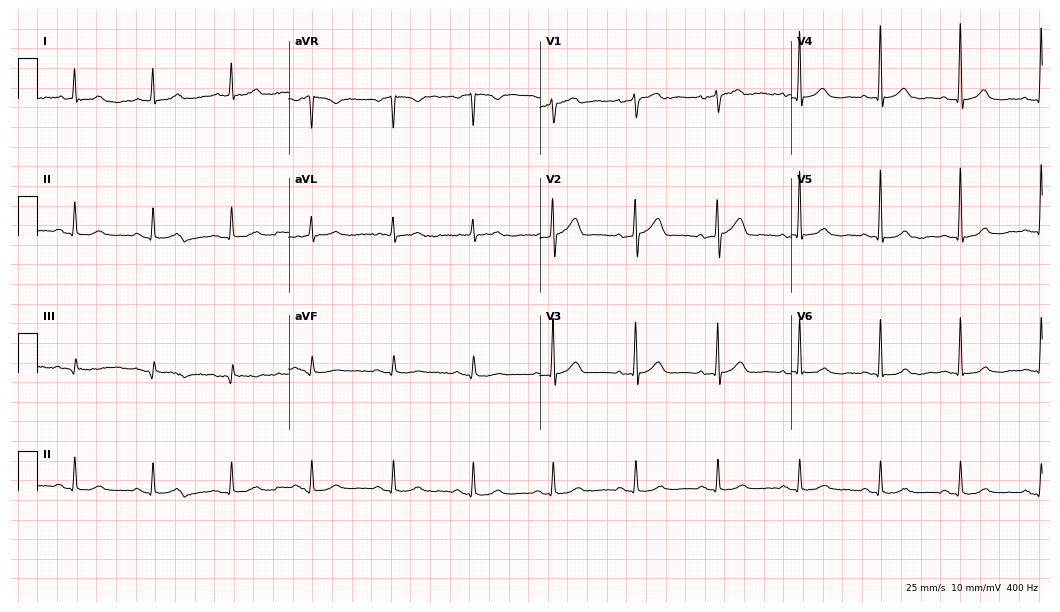
Electrocardiogram (10.2-second recording at 400 Hz), a 67-year-old male patient. Overall reading on record: normal ECG.